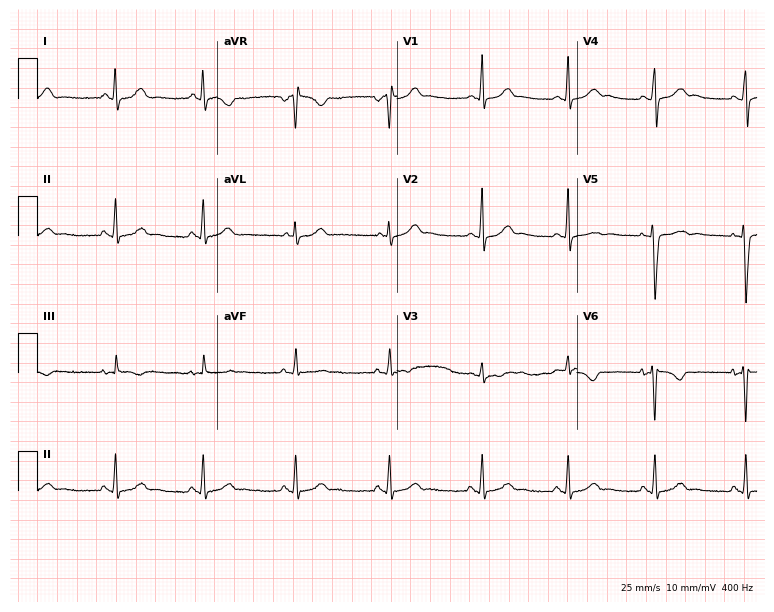
Resting 12-lead electrocardiogram. Patient: an 18-year-old female. None of these six findings is recorded: first-degree AV block, right bundle branch block, left bundle branch block, sinus bradycardia, atrial fibrillation, sinus tachycardia.